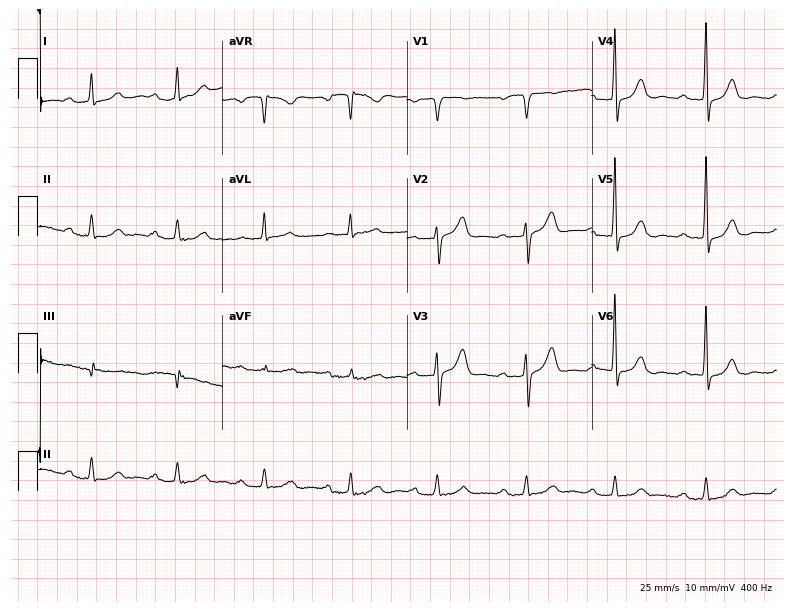
12-lead ECG (7.5-second recording at 400 Hz) from a male patient, 84 years old. Findings include first-degree AV block.